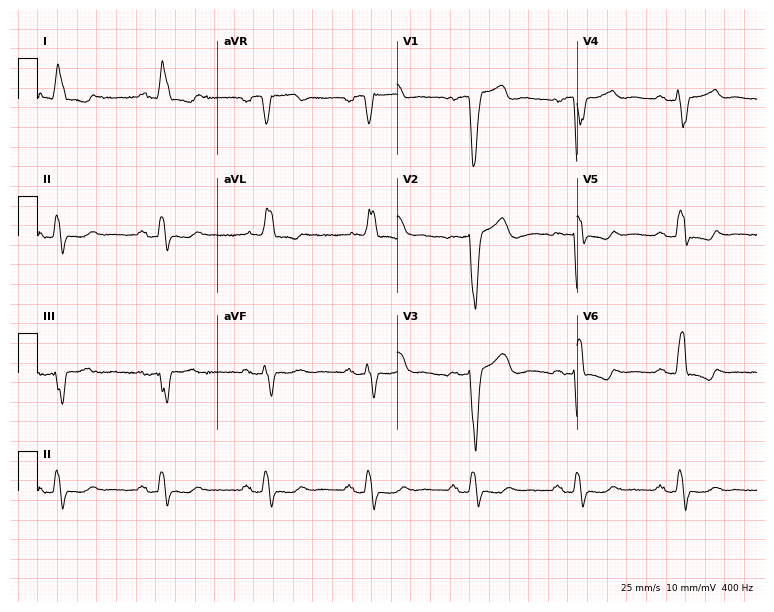
12-lead ECG from a woman, 61 years old (7.3-second recording at 400 Hz). Shows left bundle branch block (LBBB).